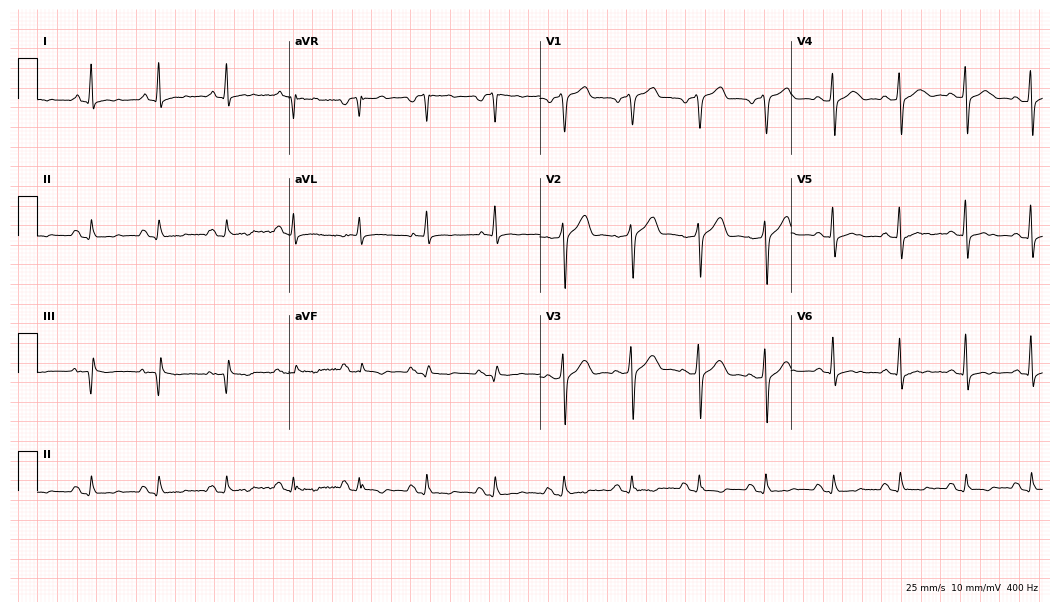
Standard 12-lead ECG recorded from a male patient, 57 years old. None of these six findings is recorded: first-degree AV block, right bundle branch block, left bundle branch block, sinus bradycardia, atrial fibrillation, sinus tachycardia. Findings outside these six are not listed.